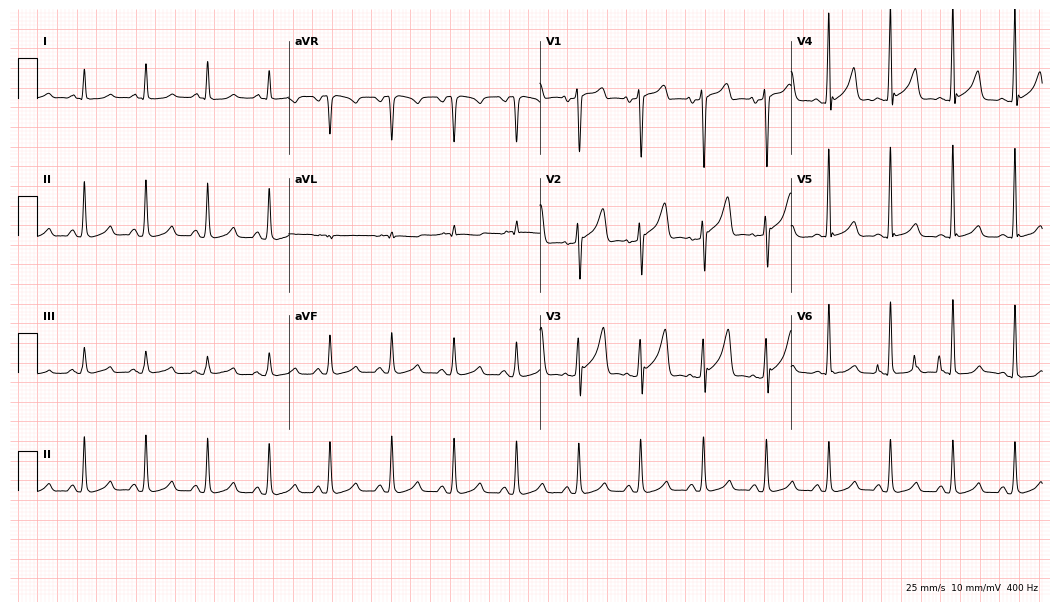
12-lead ECG from a male, 32 years old (10.2-second recording at 400 Hz). No first-degree AV block, right bundle branch block, left bundle branch block, sinus bradycardia, atrial fibrillation or sinus tachycardia recorded for this tracing.